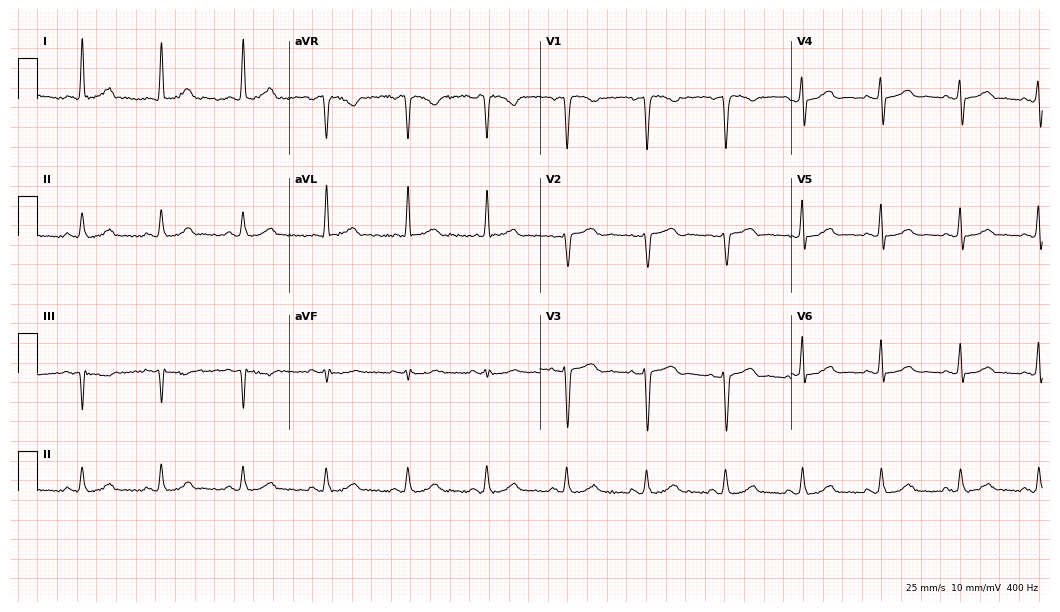
ECG (10.2-second recording at 400 Hz) — a 50-year-old female patient. Screened for six findings — first-degree AV block, right bundle branch block, left bundle branch block, sinus bradycardia, atrial fibrillation, sinus tachycardia — none is recorded.